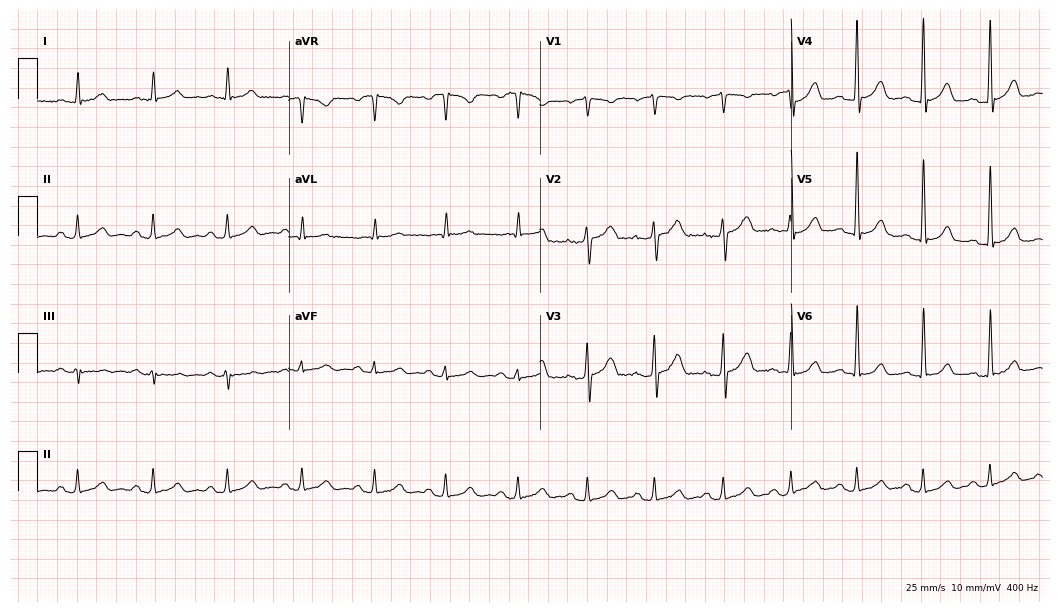
Standard 12-lead ECG recorded from a man, 53 years old. None of these six findings is recorded: first-degree AV block, right bundle branch block, left bundle branch block, sinus bradycardia, atrial fibrillation, sinus tachycardia.